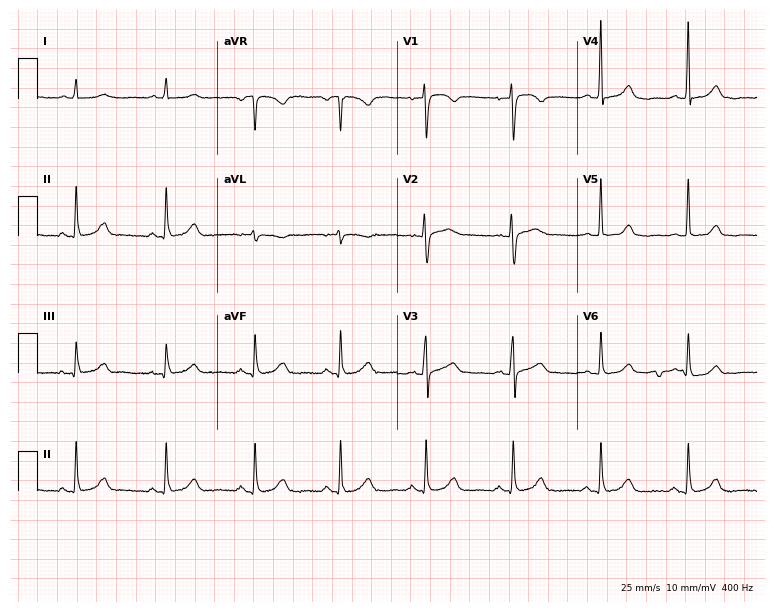
Resting 12-lead electrocardiogram. Patient: a 61-year-old female. Read as a normal ECG.